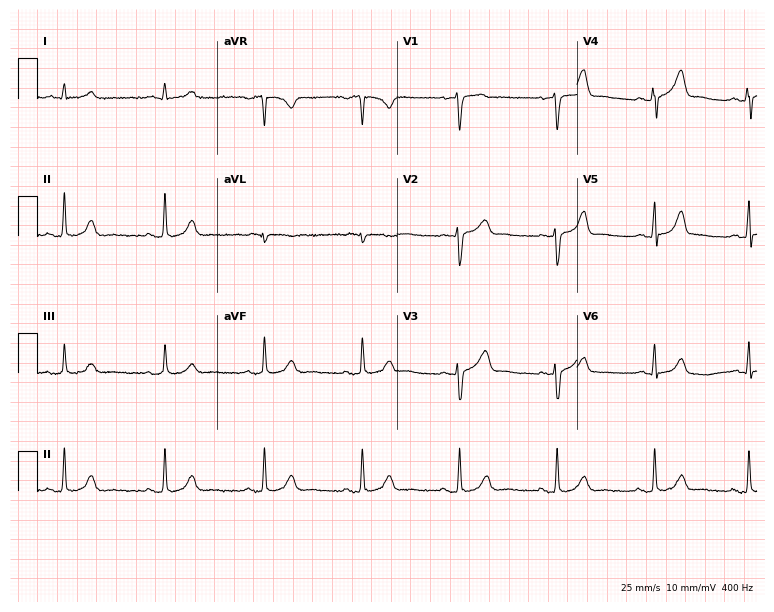
Electrocardiogram, a 53-year-old male patient. Of the six screened findings (first-degree AV block, right bundle branch block, left bundle branch block, sinus bradycardia, atrial fibrillation, sinus tachycardia), none is recorded.